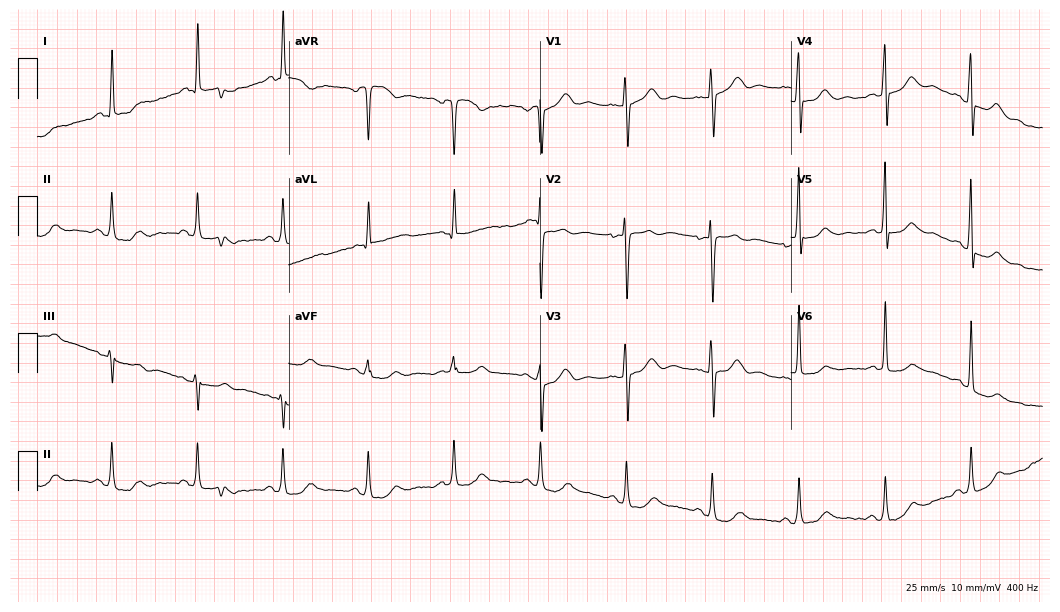
Standard 12-lead ECG recorded from a 59-year-old female (10.2-second recording at 400 Hz). None of these six findings is recorded: first-degree AV block, right bundle branch block, left bundle branch block, sinus bradycardia, atrial fibrillation, sinus tachycardia. Only these six findings were labelled.